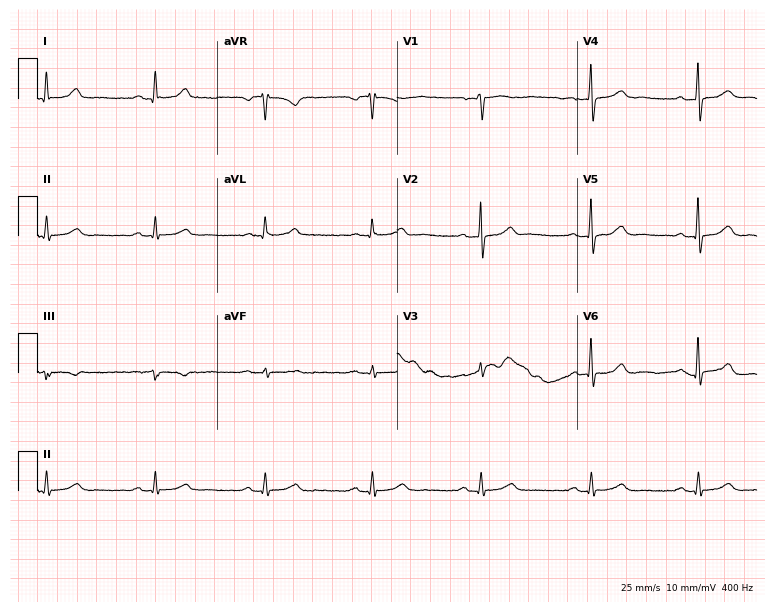
12-lead ECG from a 76-year-old man. Labelled as a normal ECG.